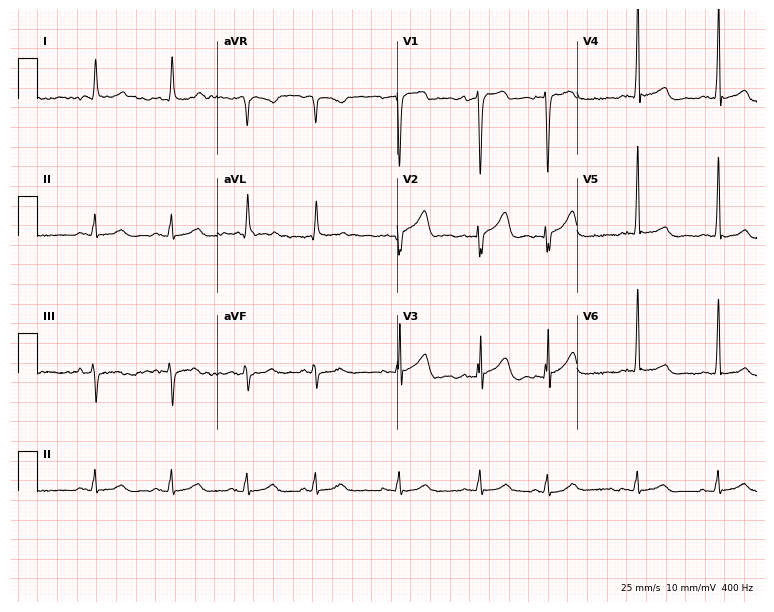
12-lead ECG from a male, 74 years old. No first-degree AV block, right bundle branch block, left bundle branch block, sinus bradycardia, atrial fibrillation or sinus tachycardia recorded for this tracing.